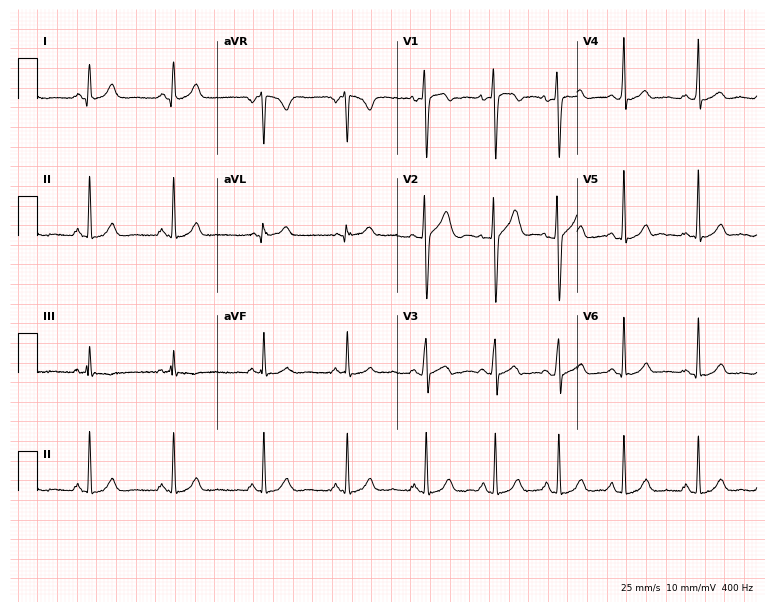
12-lead ECG from a 28-year-old male. Labelled as a normal ECG.